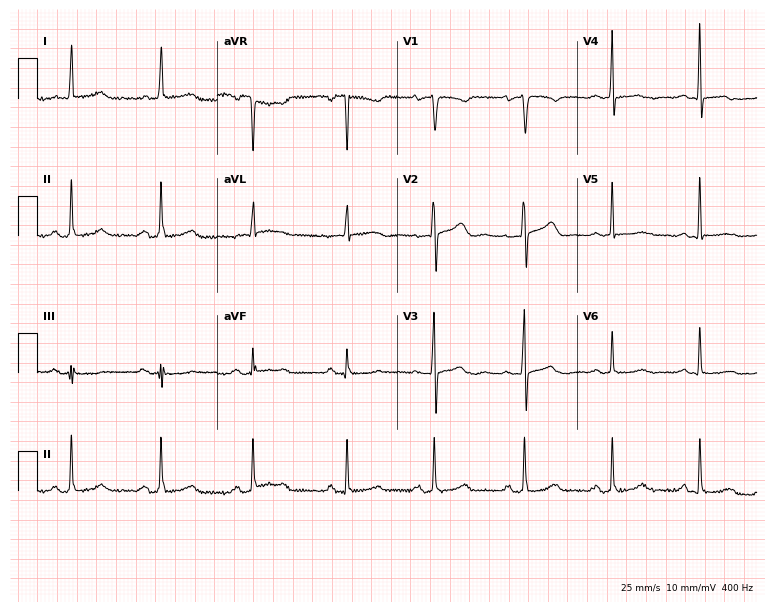
Resting 12-lead electrocardiogram. Patient: a woman, 62 years old. None of these six findings is recorded: first-degree AV block, right bundle branch block (RBBB), left bundle branch block (LBBB), sinus bradycardia, atrial fibrillation (AF), sinus tachycardia. Only these six findings were labelled.